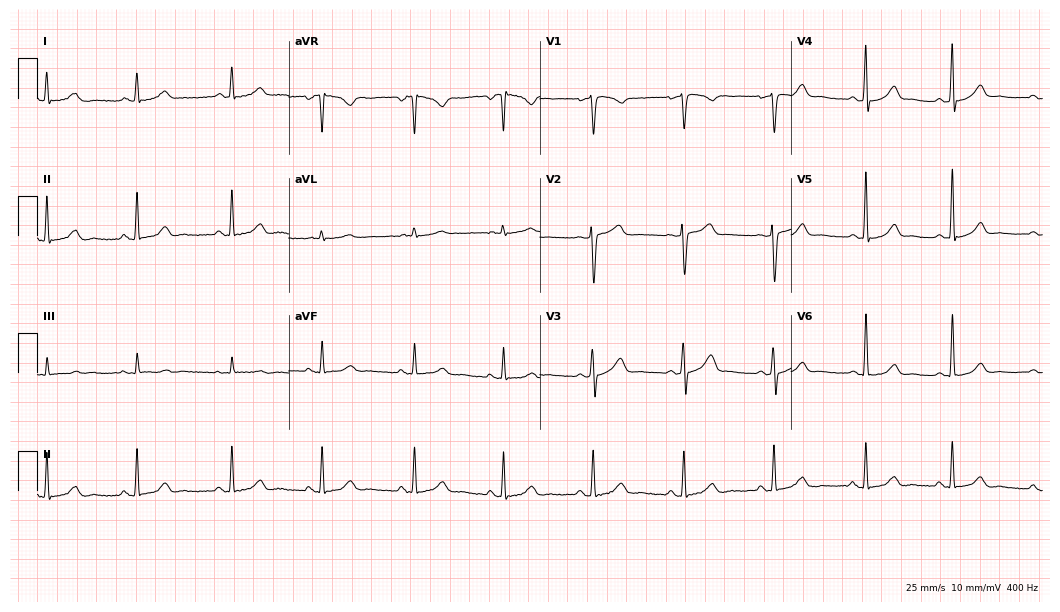
Standard 12-lead ECG recorded from a female patient, 55 years old. None of these six findings is recorded: first-degree AV block, right bundle branch block, left bundle branch block, sinus bradycardia, atrial fibrillation, sinus tachycardia.